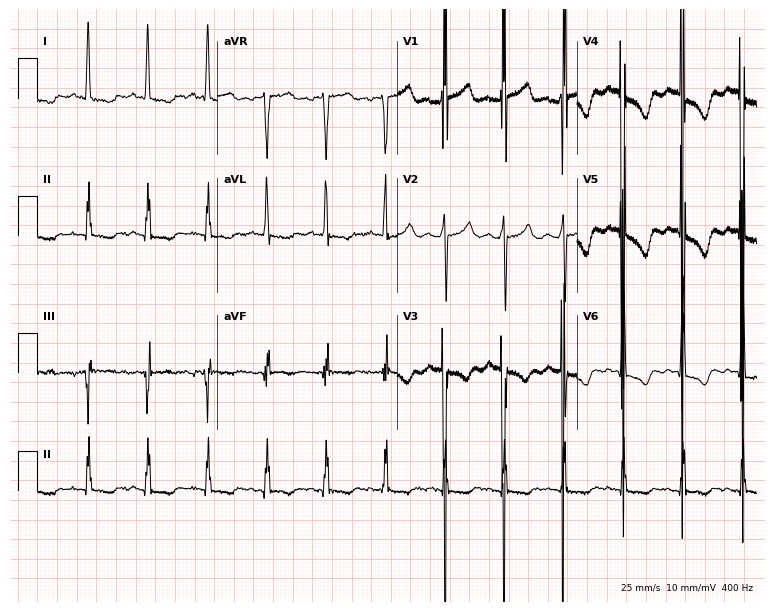
12-lead ECG from a woman, 83 years old. Screened for six findings — first-degree AV block, right bundle branch block, left bundle branch block, sinus bradycardia, atrial fibrillation, sinus tachycardia — none is recorded. Findings outside these six are not listed.